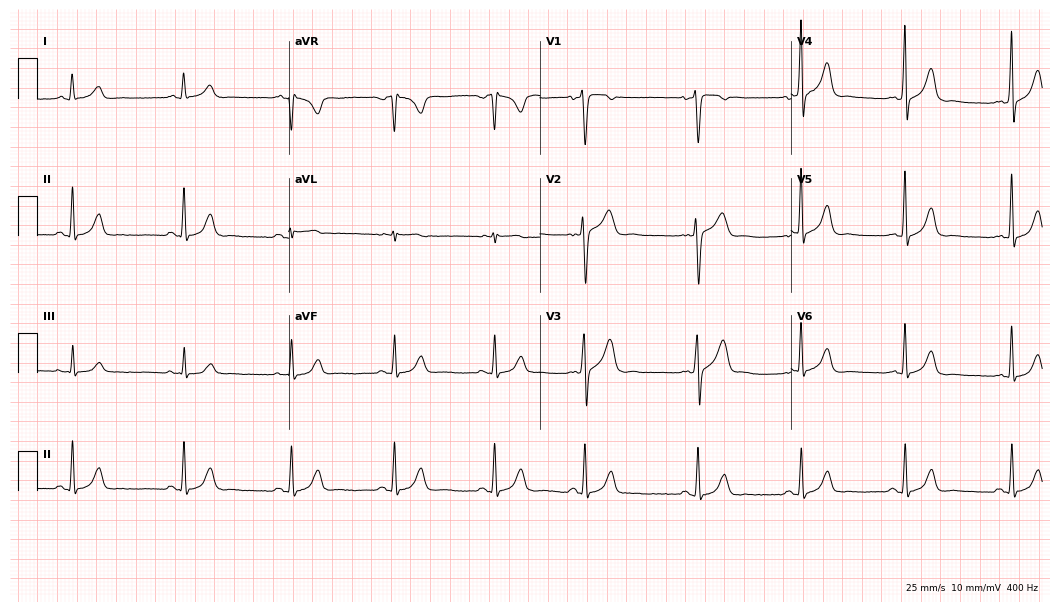
ECG (10.2-second recording at 400 Hz) — a 44-year-old male. Screened for six findings — first-degree AV block, right bundle branch block, left bundle branch block, sinus bradycardia, atrial fibrillation, sinus tachycardia — none is recorded.